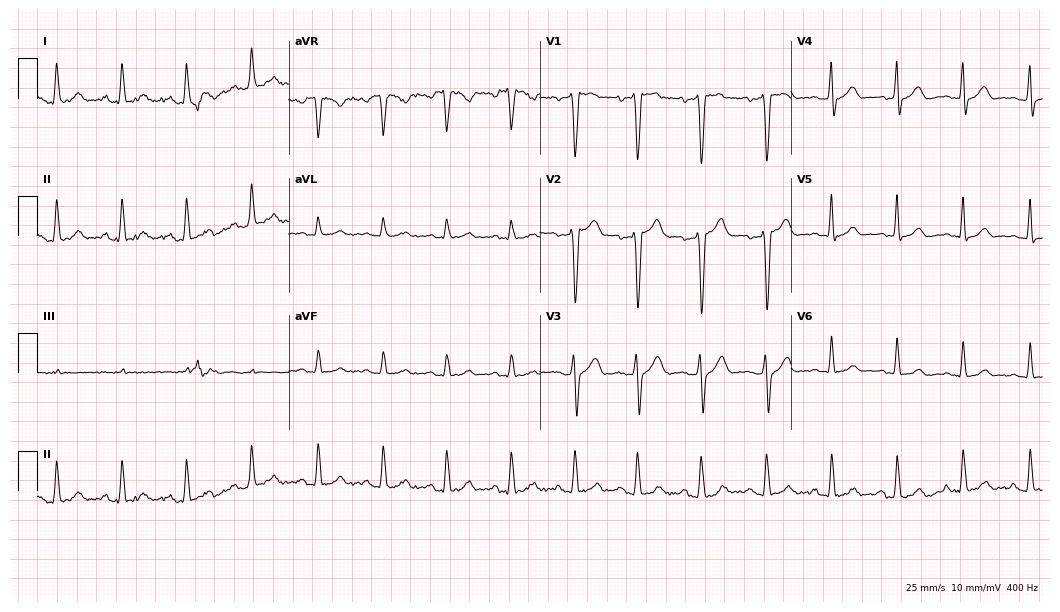
Standard 12-lead ECG recorded from a 22-year-old man. Read as a normal ECG.